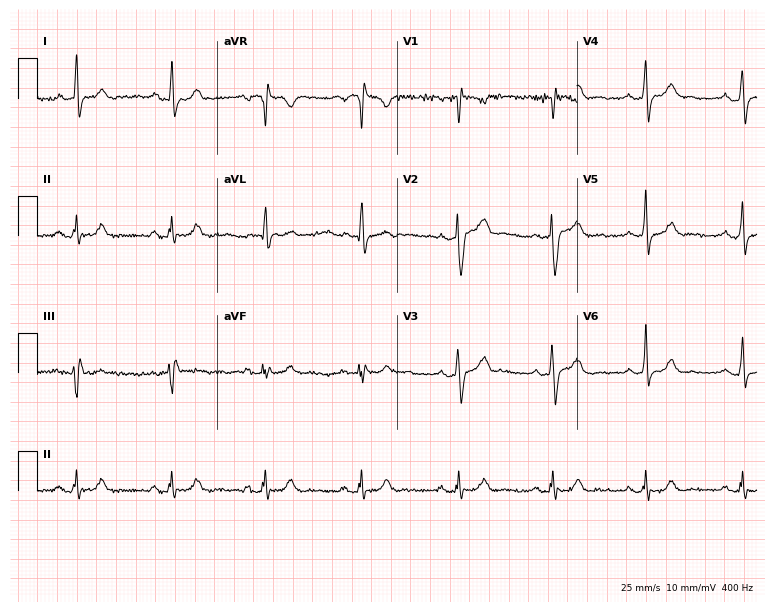
12-lead ECG from a man, 33 years old (7.3-second recording at 400 Hz). No first-degree AV block, right bundle branch block (RBBB), left bundle branch block (LBBB), sinus bradycardia, atrial fibrillation (AF) or sinus tachycardia recorded for this tracing.